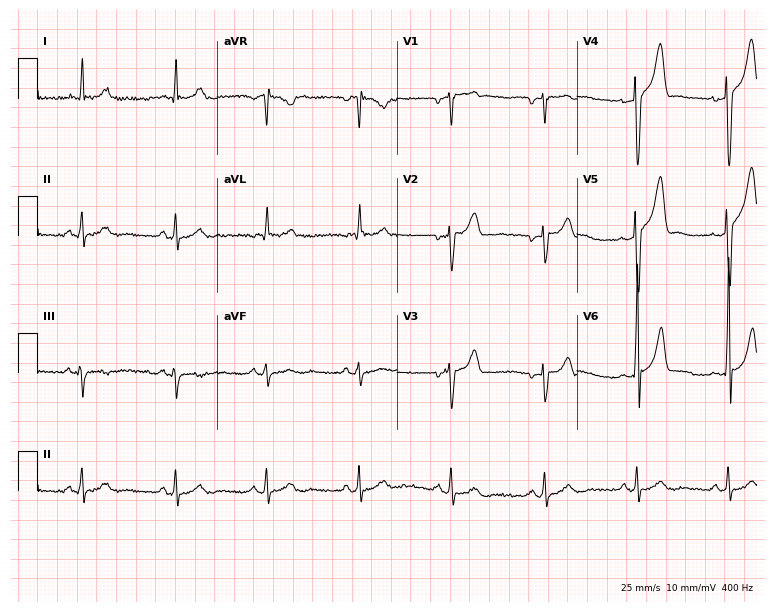
Electrocardiogram, a 45-year-old male patient. Of the six screened findings (first-degree AV block, right bundle branch block, left bundle branch block, sinus bradycardia, atrial fibrillation, sinus tachycardia), none is recorded. Findings outside these six are not listed.